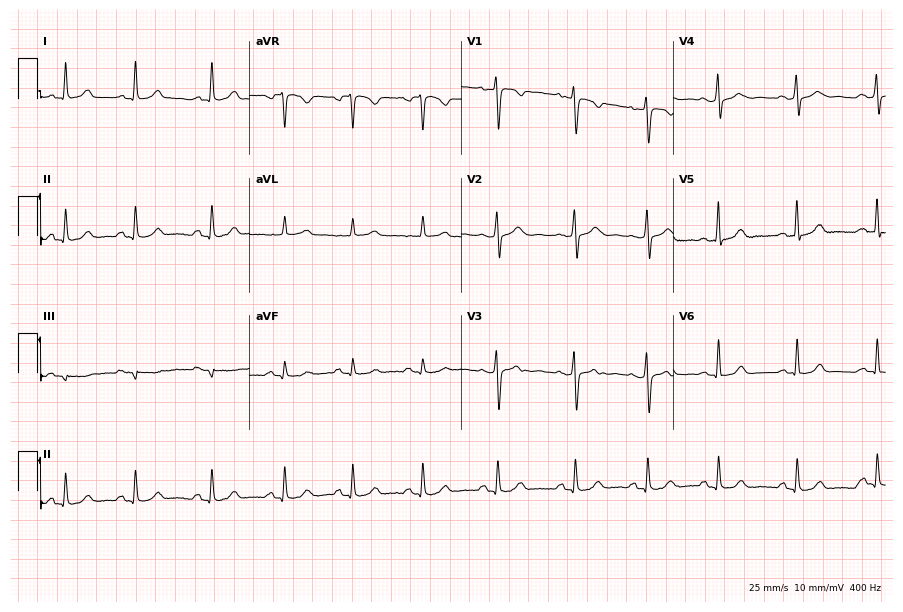
12-lead ECG from a woman, 32 years old. Recorded interpretation: within normal limits.